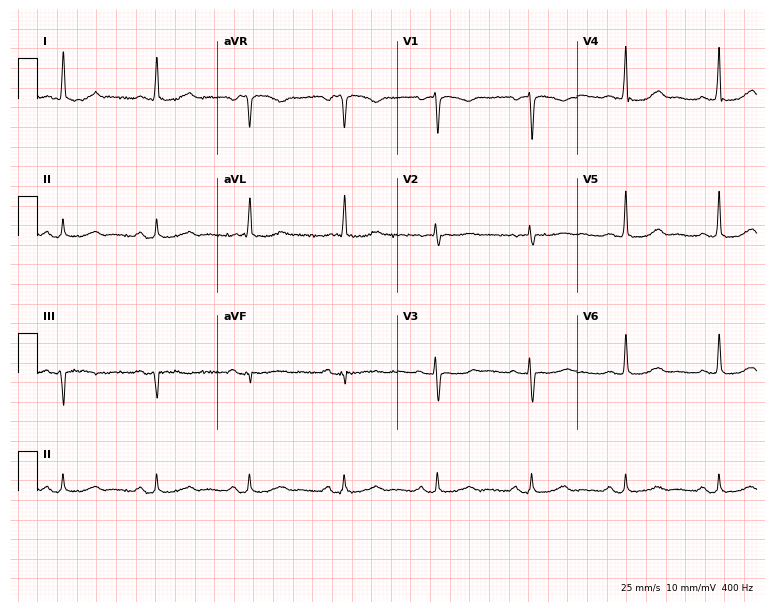
ECG (7.3-second recording at 400 Hz) — a 65-year-old woman. Screened for six findings — first-degree AV block, right bundle branch block, left bundle branch block, sinus bradycardia, atrial fibrillation, sinus tachycardia — none is recorded.